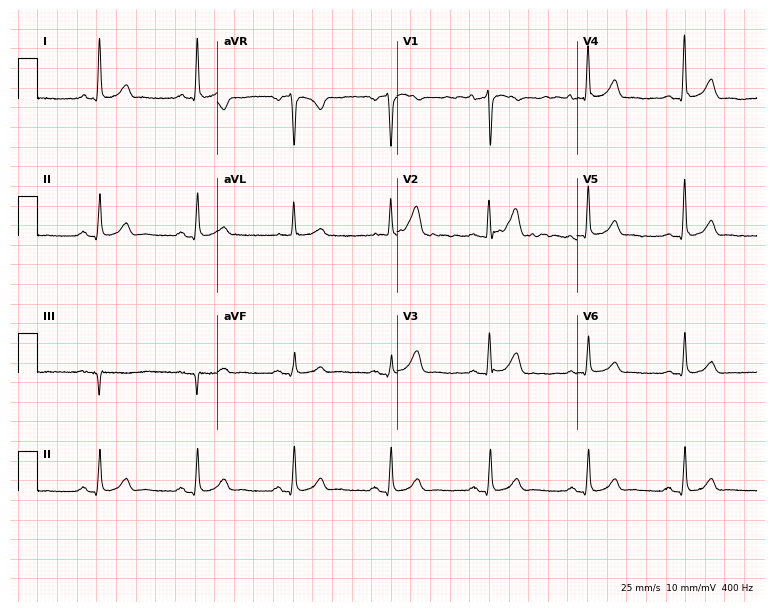
12-lead ECG (7.3-second recording at 400 Hz) from a female patient, 74 years old. Labelled as a normal ECG.